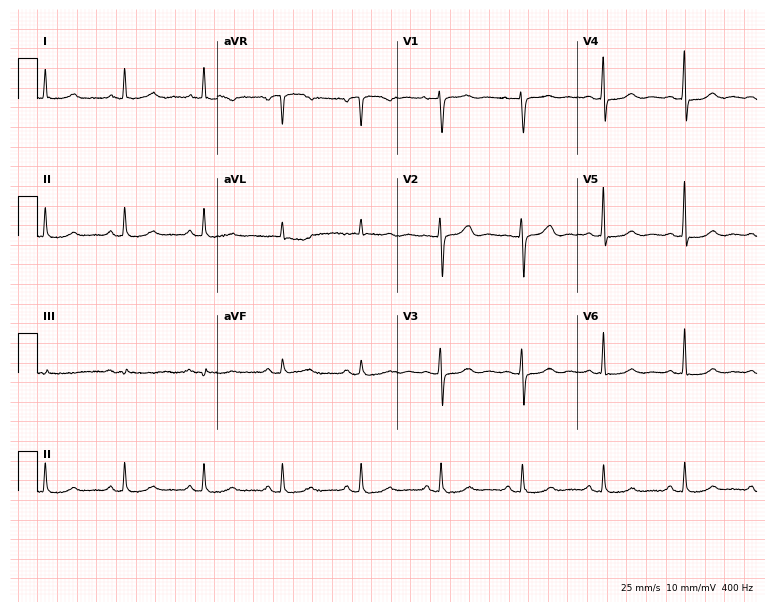
ECG — a woman, 77 years old. Screened for six findings — first-degree AV block, right bundle branch block, left bundle branch block, sinus bradycardia, atrial fibrillation, sinus tachycardia — none is recorded. Only these six findings were labelled.